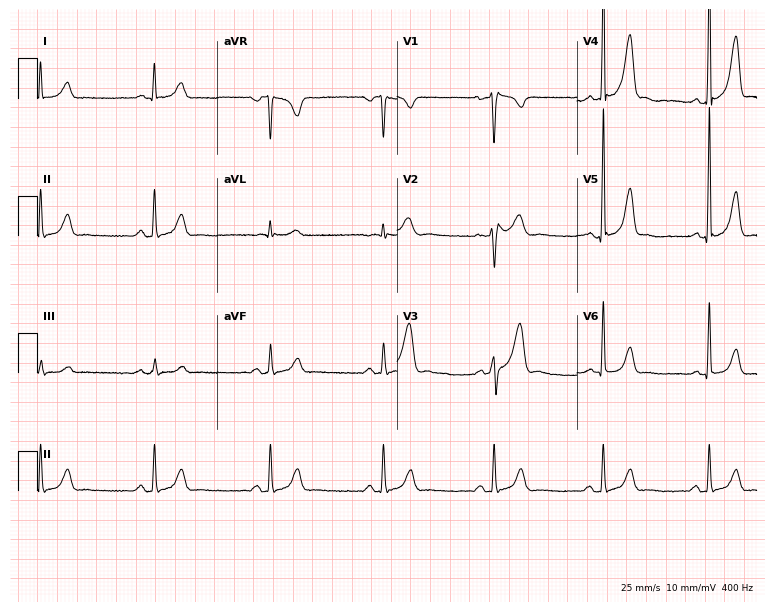
12-lead ECG (7.3-second recording at 400 Hz) from a 52-year-old man. Screened for six findings — first-degree AV block, right bundle branch block, left bundle branch block, sinus bradycardia, atrial fibrillation, sinus tachycardia — none is recorded.